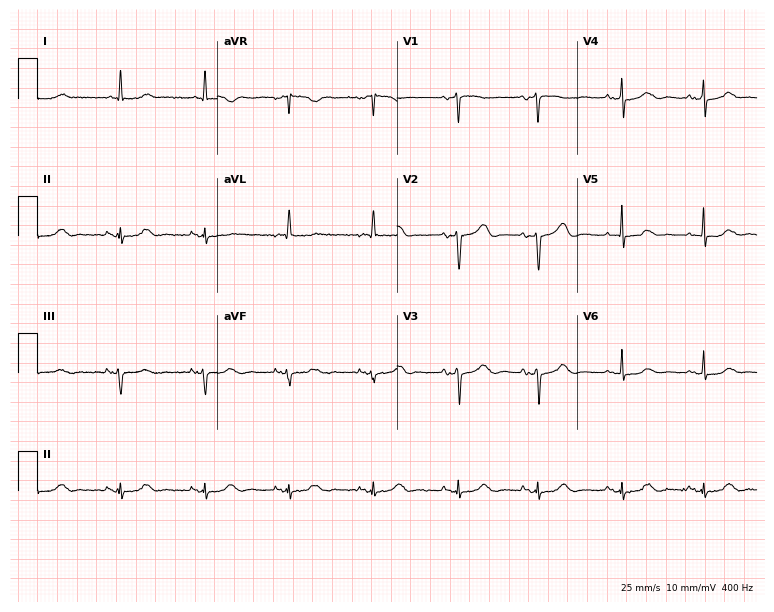
Resting 12-lead electrocardiogram (7.3-second recording at 400 Hz). Patient: an 85-year-old female. Read as a normal ECG.